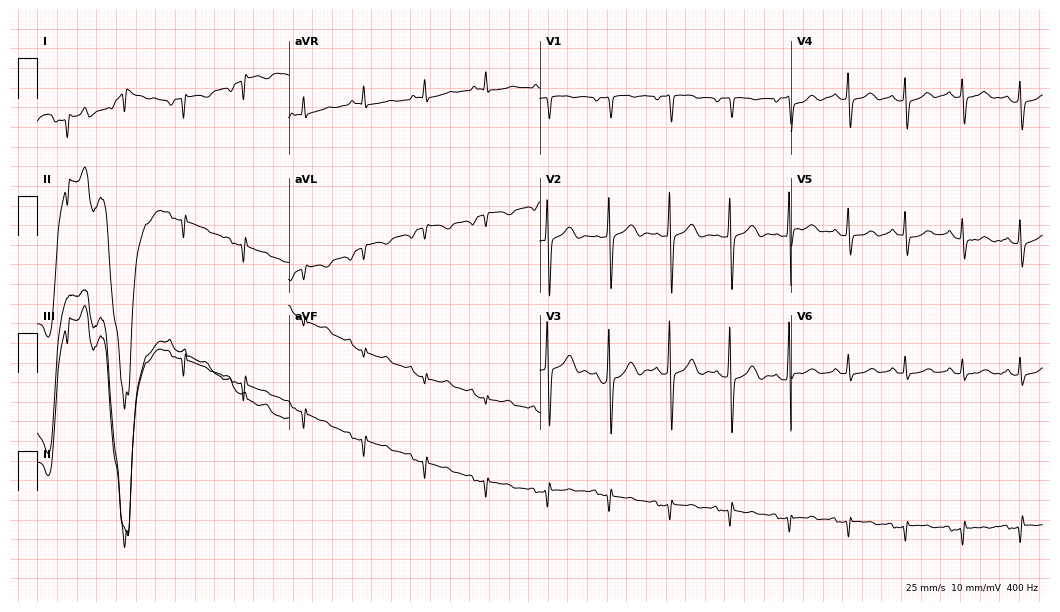
Electrocardiogram, a man, 72 years old. Of the six screened findings (first-degree AV block, right bundle branch block, left bundle branch block, sinus bradycardia, atrial fibrillation, sinus tachycardia), none is recorded.